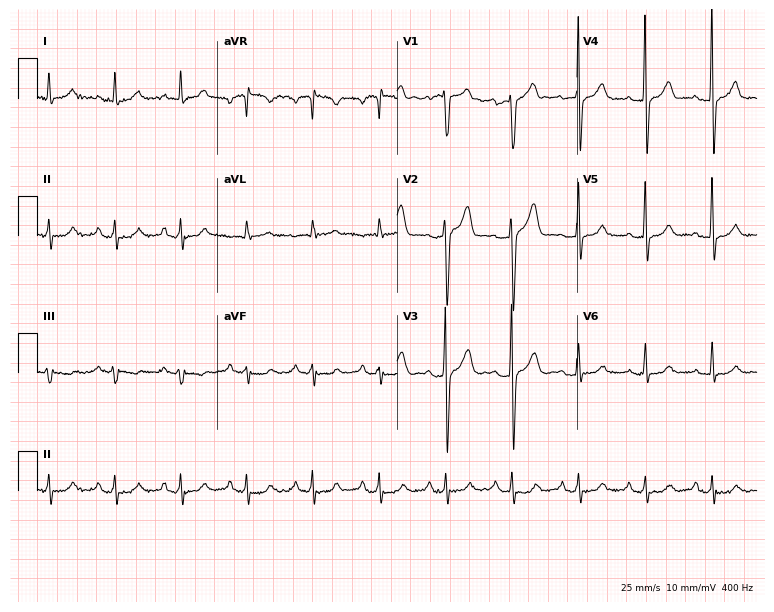
Standard 12-lead ECG recorded from a male, 61 years old. Read as a normal ECG.